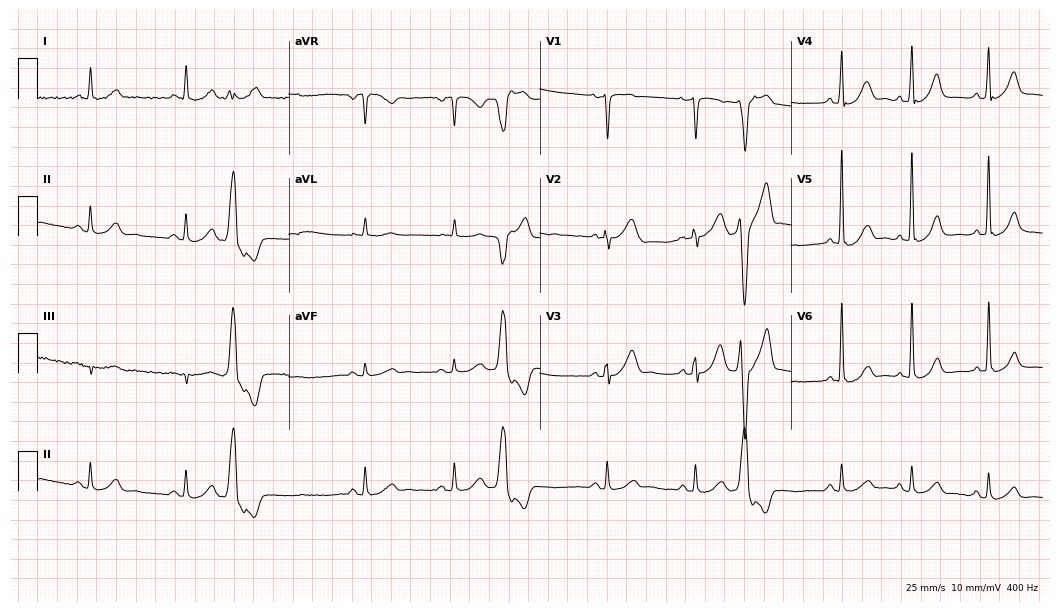
Resting 12-lead electrocardiogram. Patient: a male, 66 years old. Read as a normal ECG.